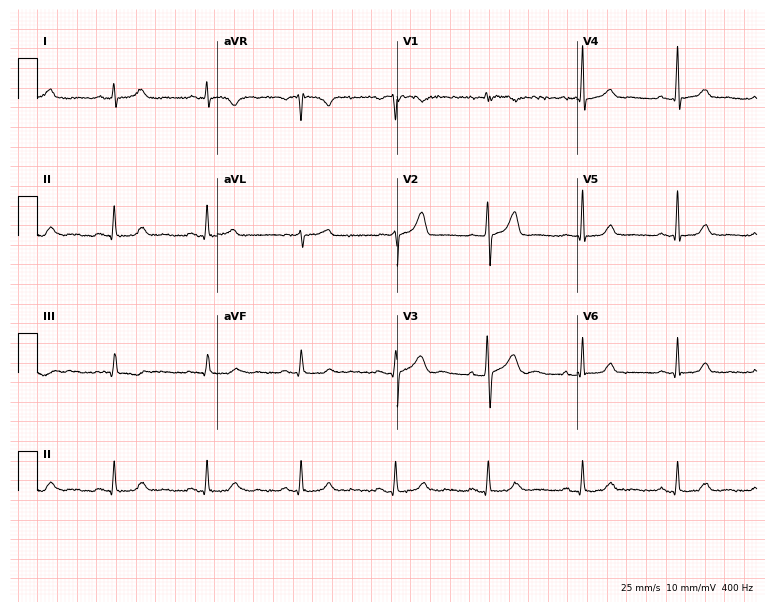
12-lead ECG from a 70-year-old woman (7.3-second recording at 400 Hz). Recorded interpretation: within normal limits.